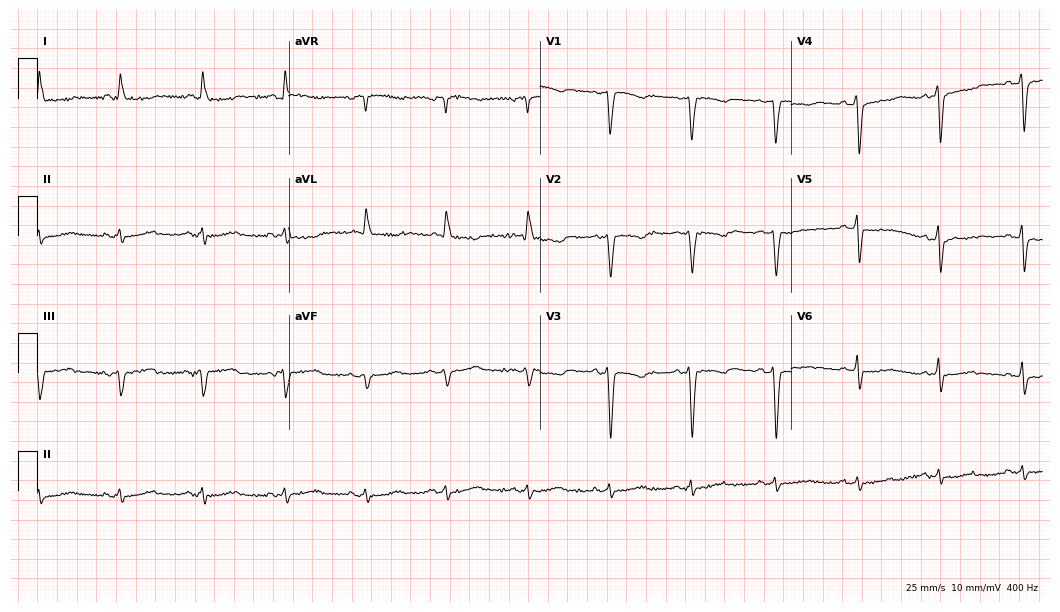
Electrocardiogram (10.2-second recording at 400 Hz), a 64-year-old woman. Of the six screened findings (first-degree AV block, right bundle branch block (RBBB), left bundle branch block (LBBB), sinus bradycardia, atrial fibrillation (AF), sinus tachycardia), none is recorded.